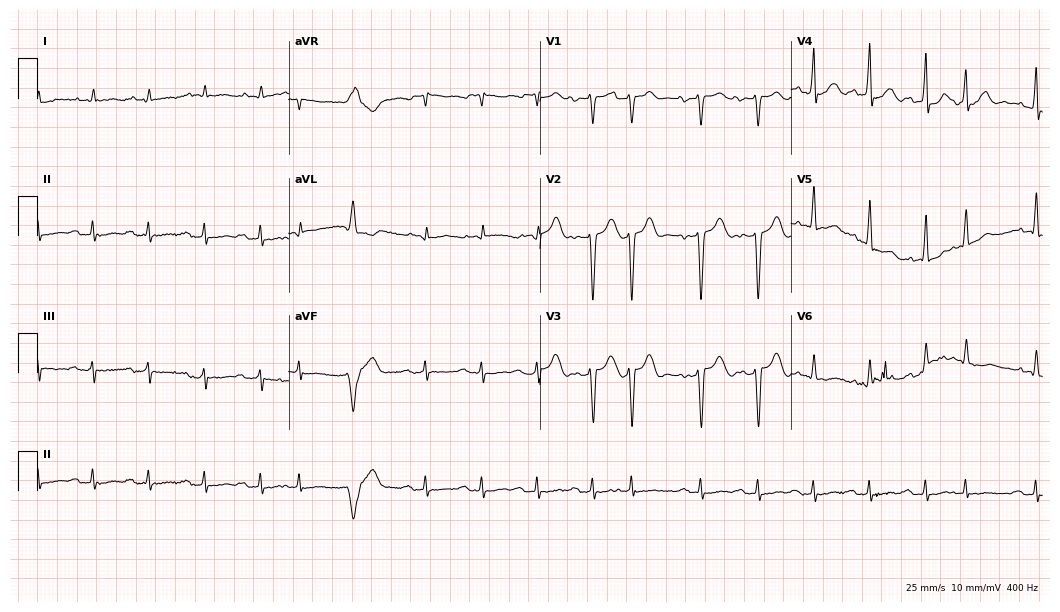
12-lead ECG (10.2-second recording at 400 Hz) from a 79-year-old male patient. Screened for six findings — first-degree AV block, right bundle branch block, left bundle branch block, sinus bradycardia, atrial fibrillation, sinus tachycardia — none is recorded. Only these six findings were labelled.